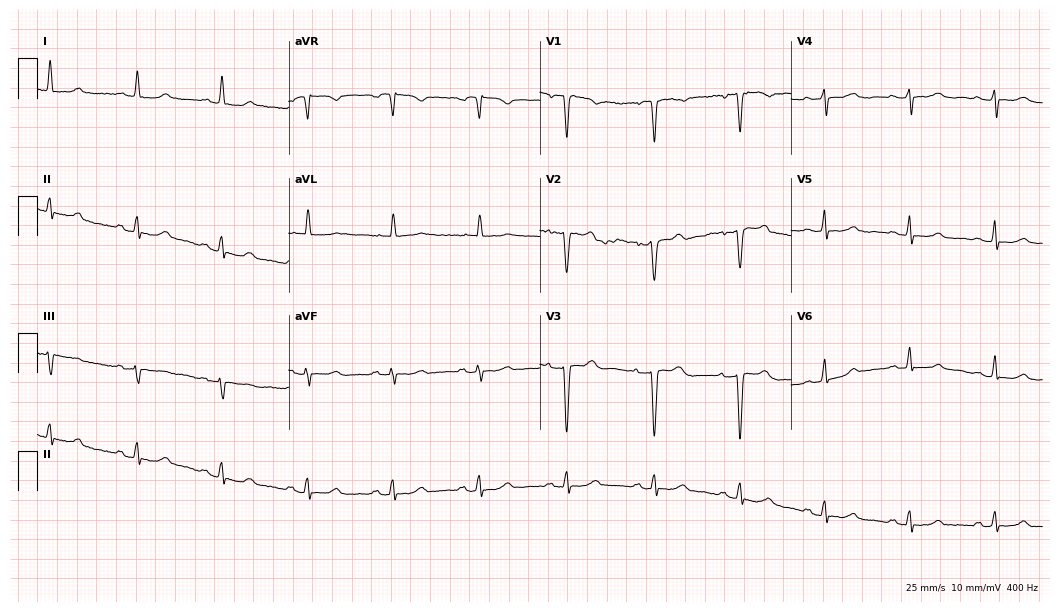
12-lead ECG from a female, 59 years old. No first-degree AV block, right bundle branch block, left bundle branch block, sinus bradycardia, atrial fibrillation or sinus tachycardia recorded for this tracing. Findings outside these six are not listed.